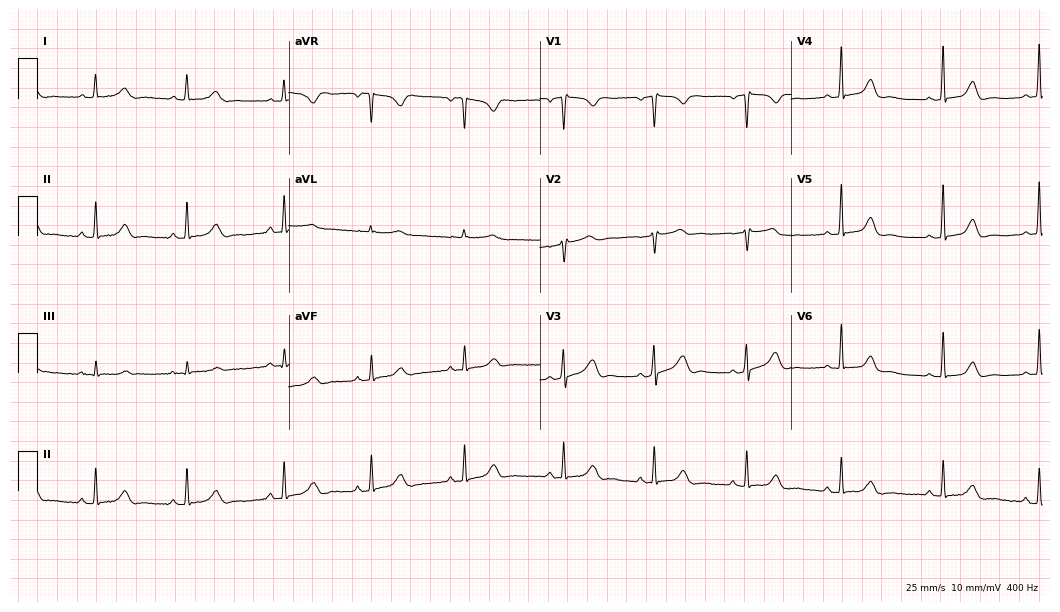
Standard 12-lead ECG recorded from a 62-year-old woman (10.2-second recording at 400 Hz). Read as a normal ECG.